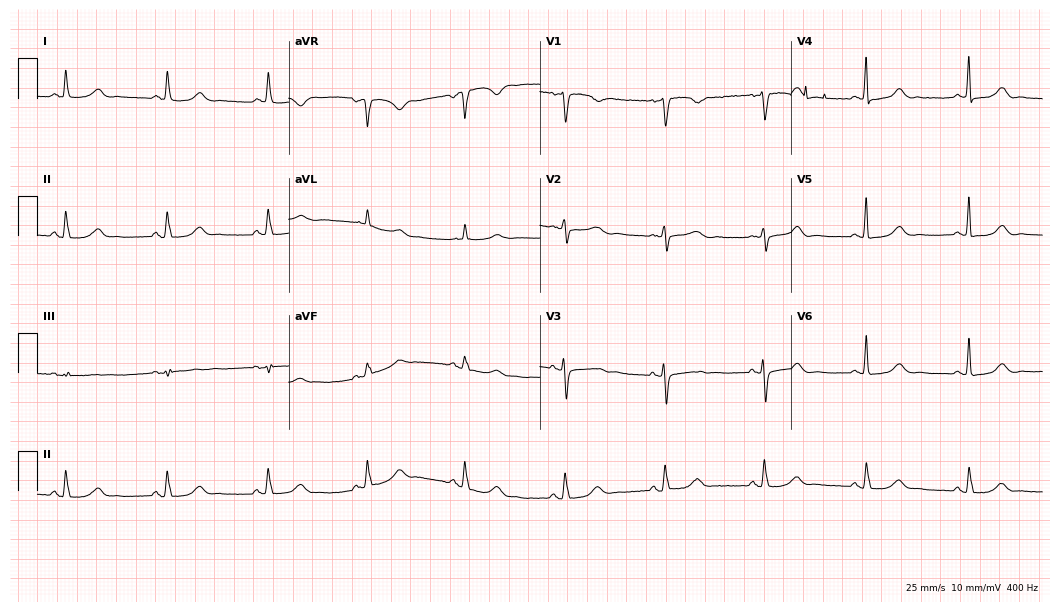
Resting 12-lead electrocardiogram (10.2-second recording at 400 Hz). Patient: a 77-year-old female. Read as a normal ECG.